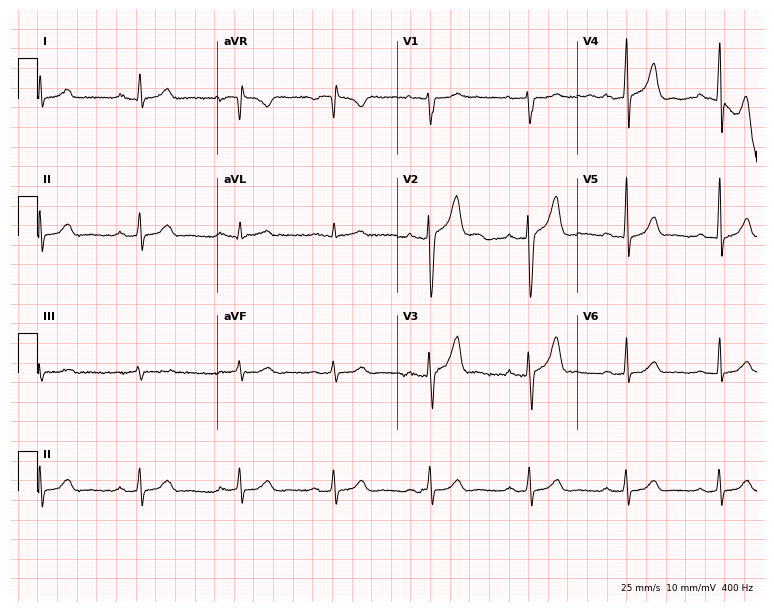
12-lead ECG (7.3-second recording at 400 Hz) from a man, 34 years old. Screened for six findings — first-degree AV block, right bundle branch block, left bundle branch block, sinus bradycardia, atrial fibrillation, sinus tachycardia — none is recorded. Findings outside these six are not listed.